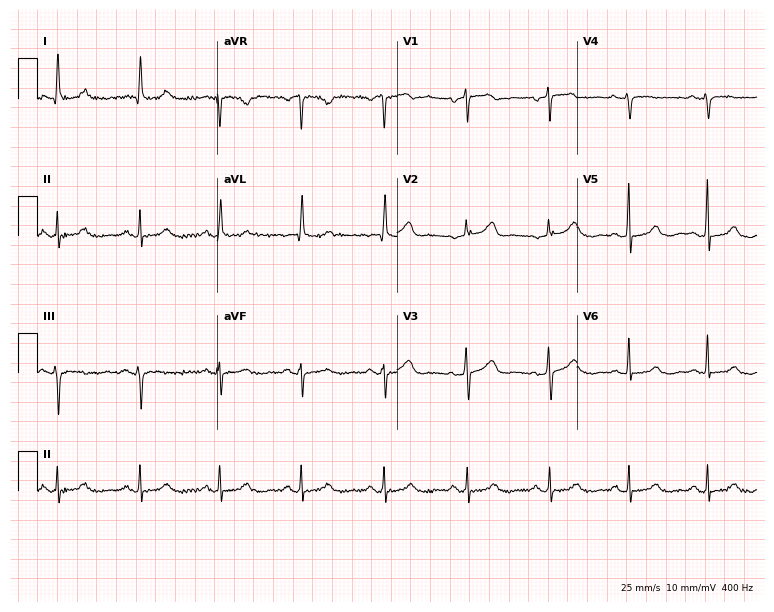
Resting 12-lead electrocardiogram (7.3-second recording at 400 Hz). Patient: a 71-year-old woman. None of these six findings is recorded: first-degree AV block, right bundle branch block, left bundle branch block, sinus bradycardia, atrial fibrillation, sinus tachycardia.